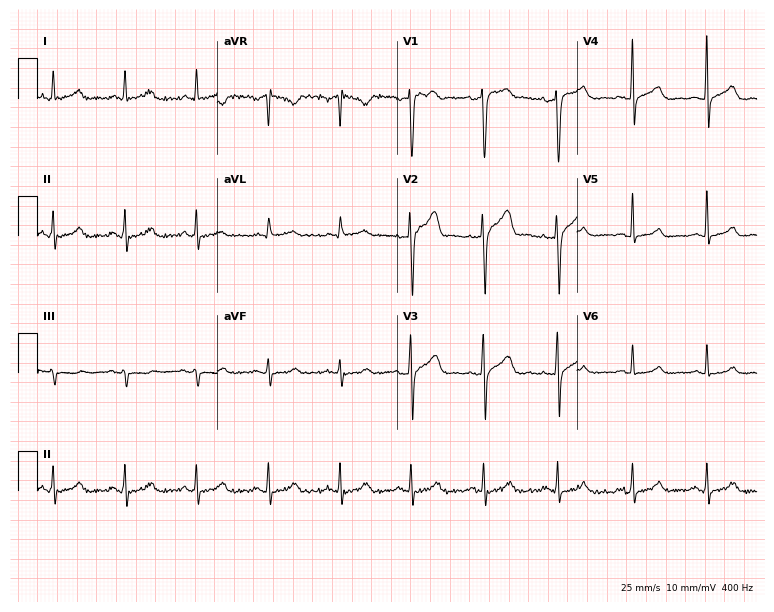
Electrocardiogram (7.3-second recording at 400 Hz), a 50-year-old male patient. Overall reading on record: normal ECG.